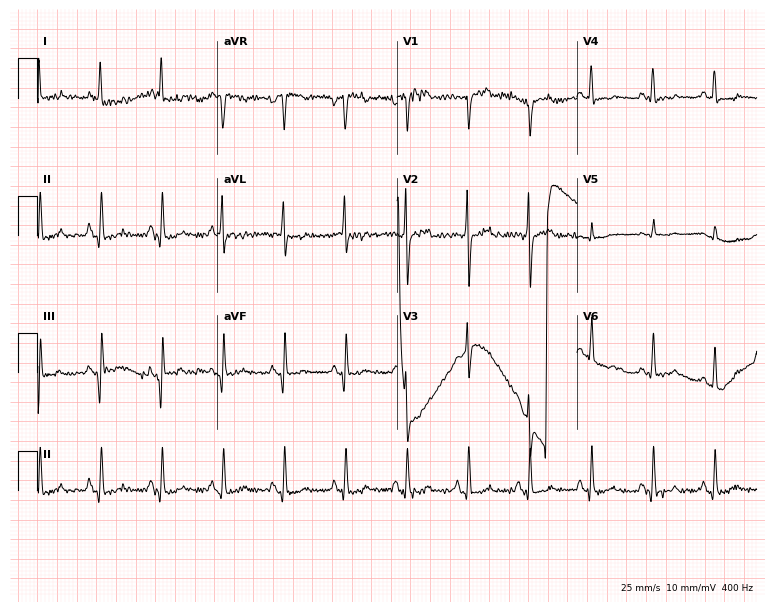
12-lead ECG (7.3-second recording at 400 Hz) from an 85-year-old woman. Screened for six findings — first-degree AV block, right bundle branch block, left bundle branch block, sinus bradycardia, atrial fibrillation, sinus tachycardia — none is recorded.